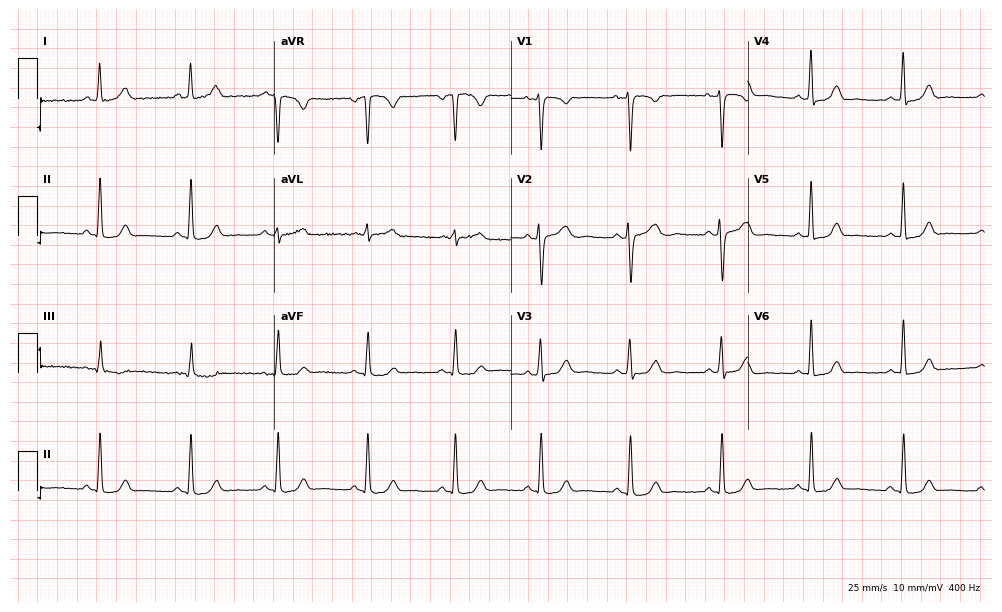
ECG — a female patient, 49 years old. Screened for six findings — first-degree AV block, right bundle branch block, left bundle branch block, sinus bradycardia, atrial fibrillation, sinus tachycardia — none is recorded.